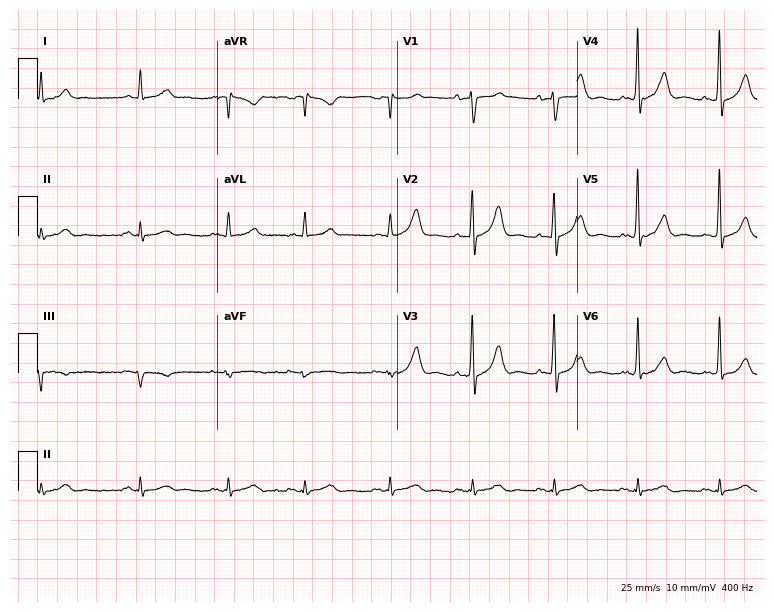
12-lead ECG (7.3-second recording at 400 Hz) from a 66-year-old male patient. Screened for six findings — first-degree AV block, right bundle branch block, left bundle branch block, sinus bradycardia, atrial fibrillation, sinus tachycardia — none is recorded. Findings outside these six are not listed.